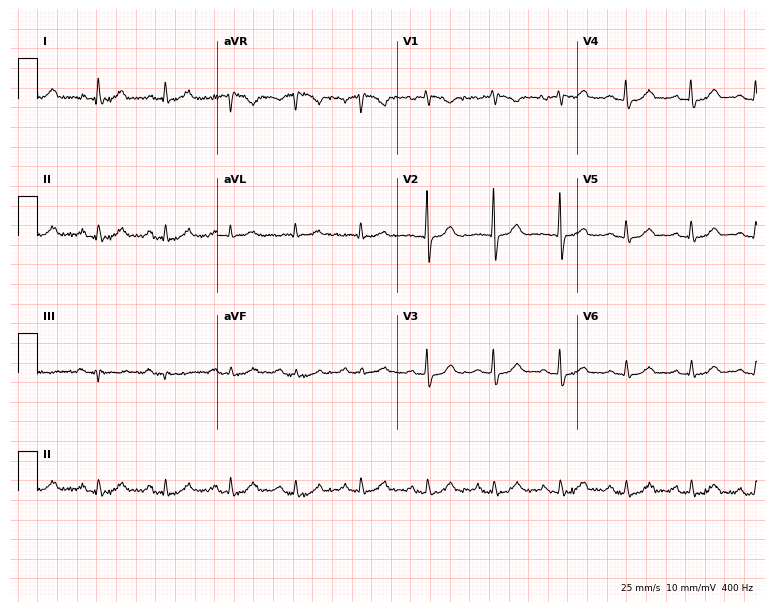
12-lead ECG (7.3-second recording at 400 Hz) from a female patient, 82 years old. Labelled as a normal ECG.